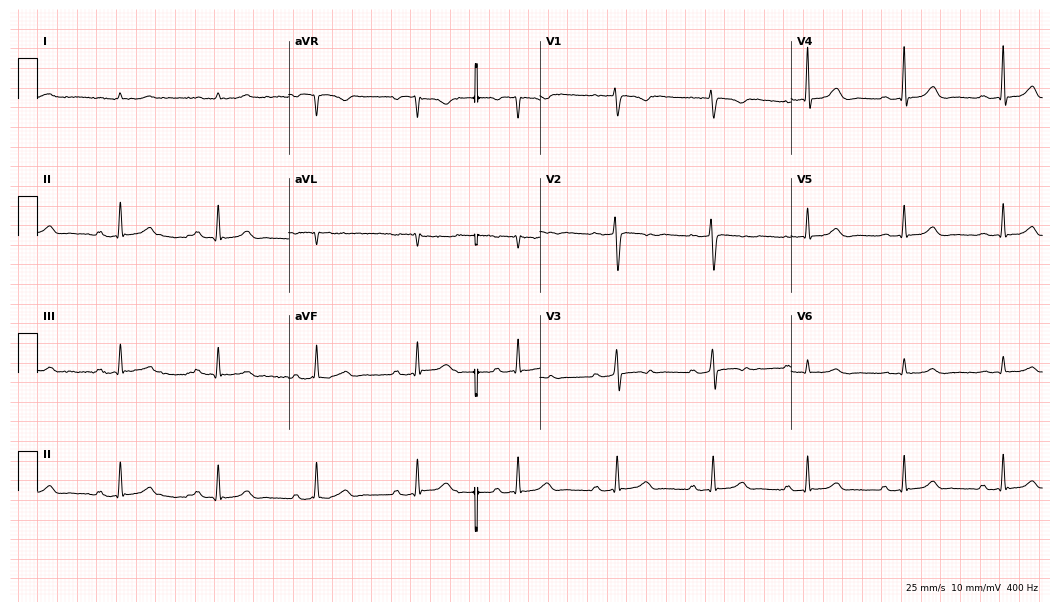
Standard 12-lead ECG recorded from a female, 33 years old. None of these six findings is recorded: first-degree AV block, right bundle branch block (RBBB), left bundle branch block (LBBB), sinus bradycardia, atrial fibrillation (AF), sinus tachycardia. Only these six findings were labelled.